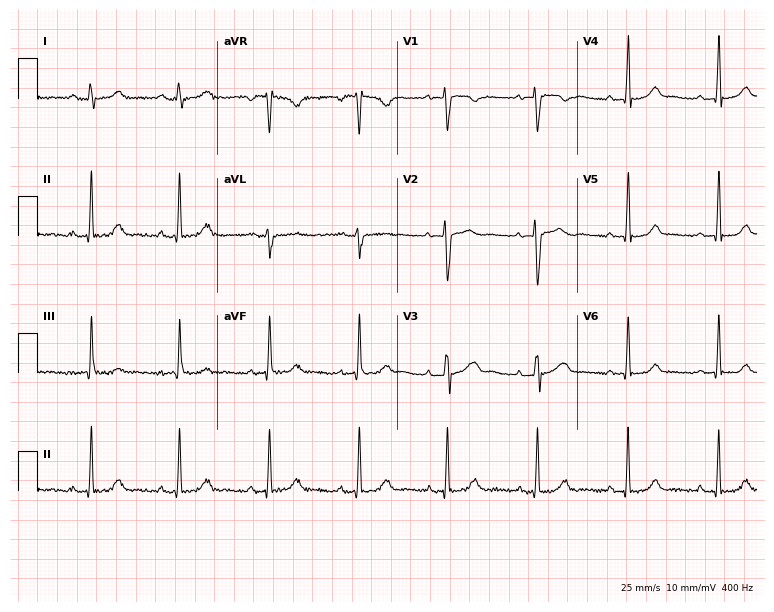
Resting 12-lead electrocardiogram. Patient: a 23-year-old female. Read as a normal ECG.